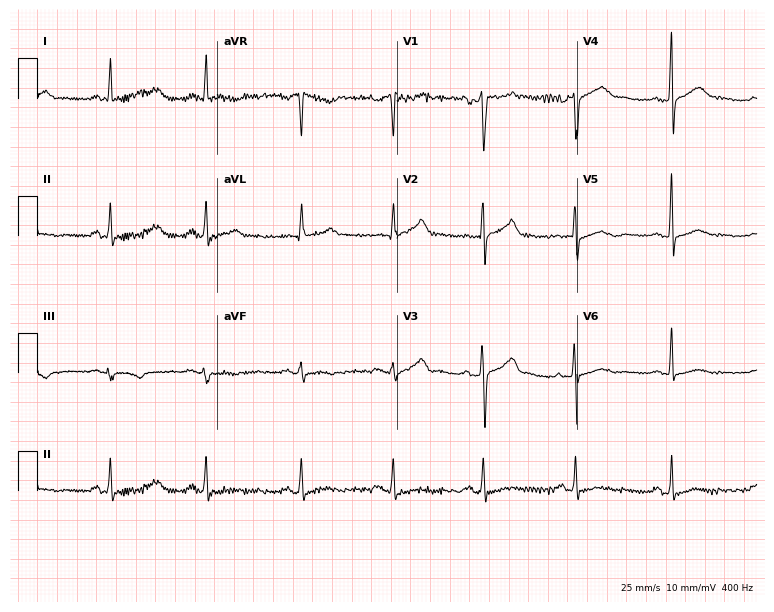
ECG (7.3-second recording at 400 Hz) — a man, 52 years old. Screened for six findings — first-degree AV block, right bundle branch block, left bundle branch block, sinus bradycardia, atrial fibrillation, sinus tachycardia — none is recorded.